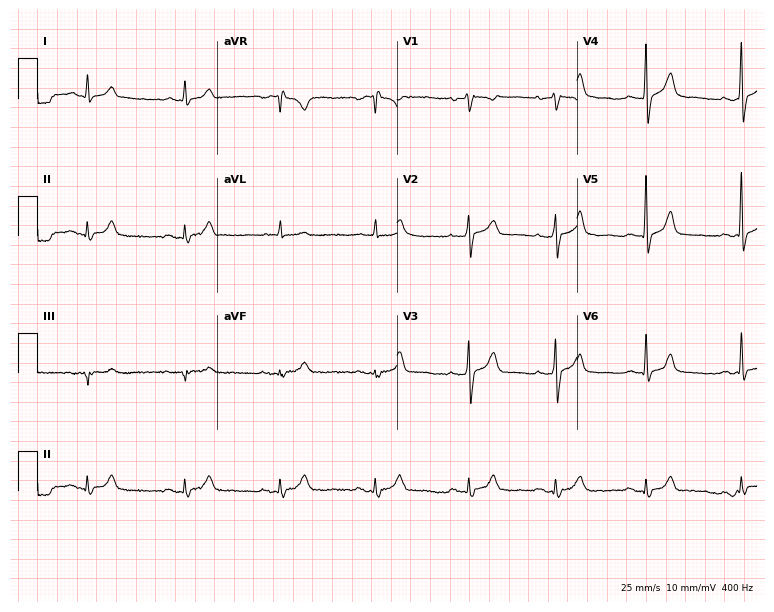
12-lead ECG from a 70-year-old male. Labelled as a normal ECG.